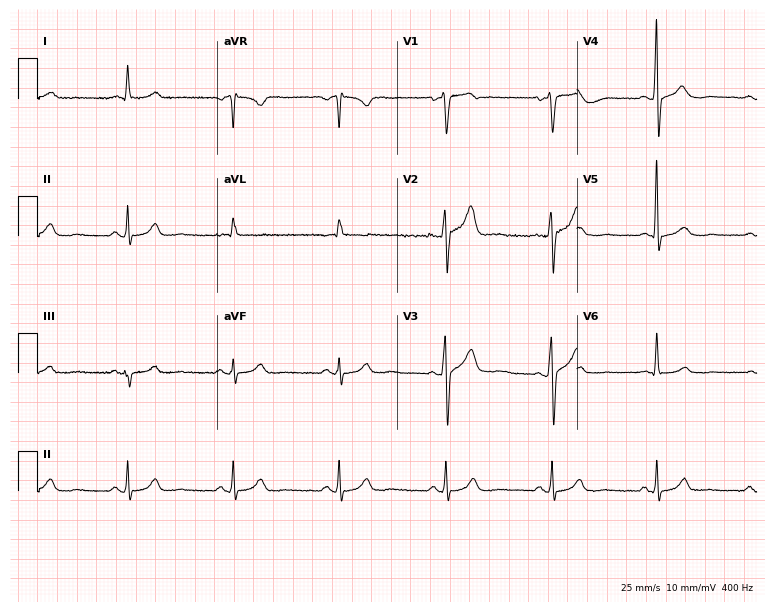
ECG — a male, 65 years old. Screened for six findings — first-degree AV block, right bundle branch block, left bundle branch block, sinus bradycardia, atrial fibrillation, sinus tachycardia — none is recorded. Findings outside these six are not listed.